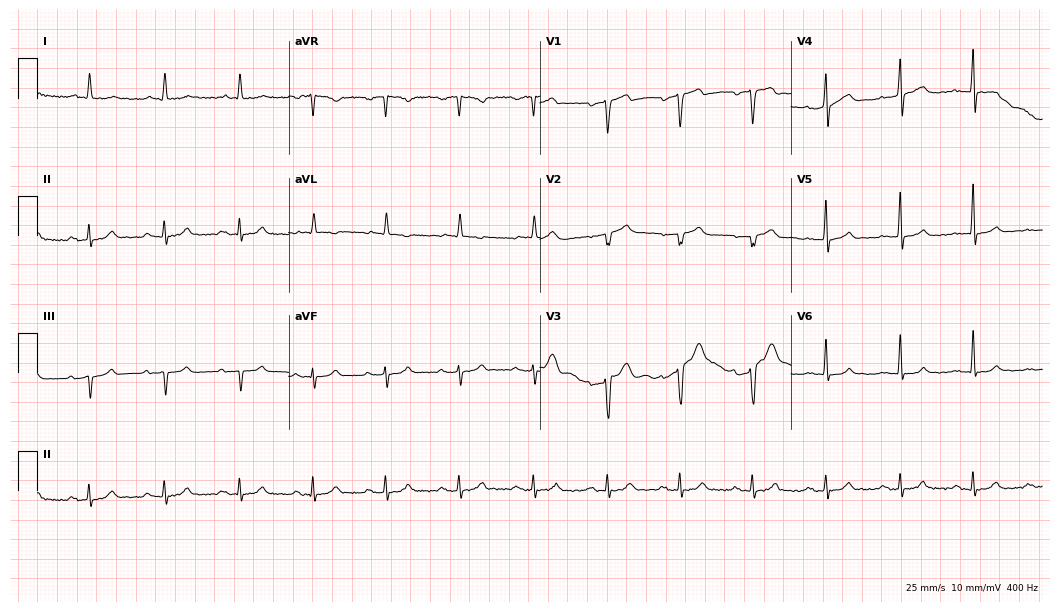
12-lead ECG from a male patient, 63 years old. Screened for six findings — first-degree AV block, right bundle branch block, left bundle branch block, sinus bradycardia, atrial fibrillation, sinus tachycardia — none is recorded. Only these six findings were labelled.